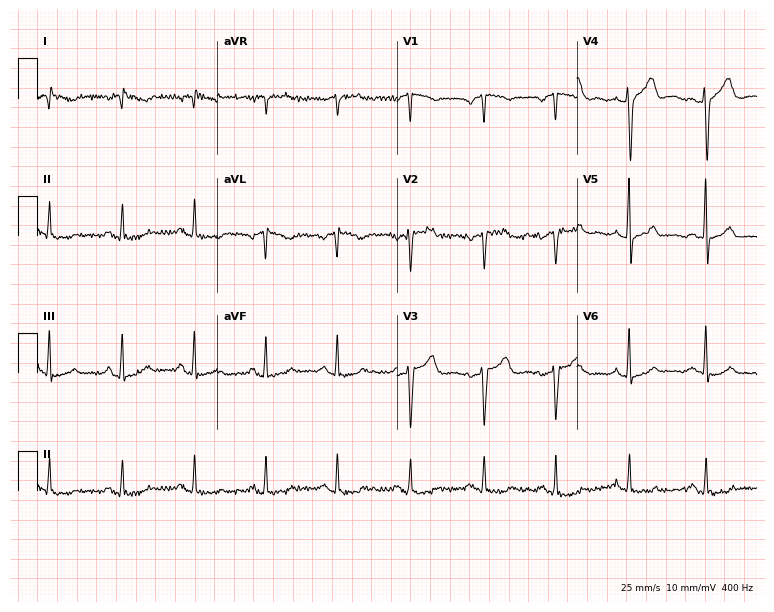
12-lead ECG from a 61-year-old male (7.3-second recording at 400 Hz). No first-degree AV block, right bundle branch block (RBBB), left bundle branch block (LBBB), sinus bradycardia, atrial fibrillation (AF) or sinus tachycardia recorded for this tracing. Only these six findings were labelled.